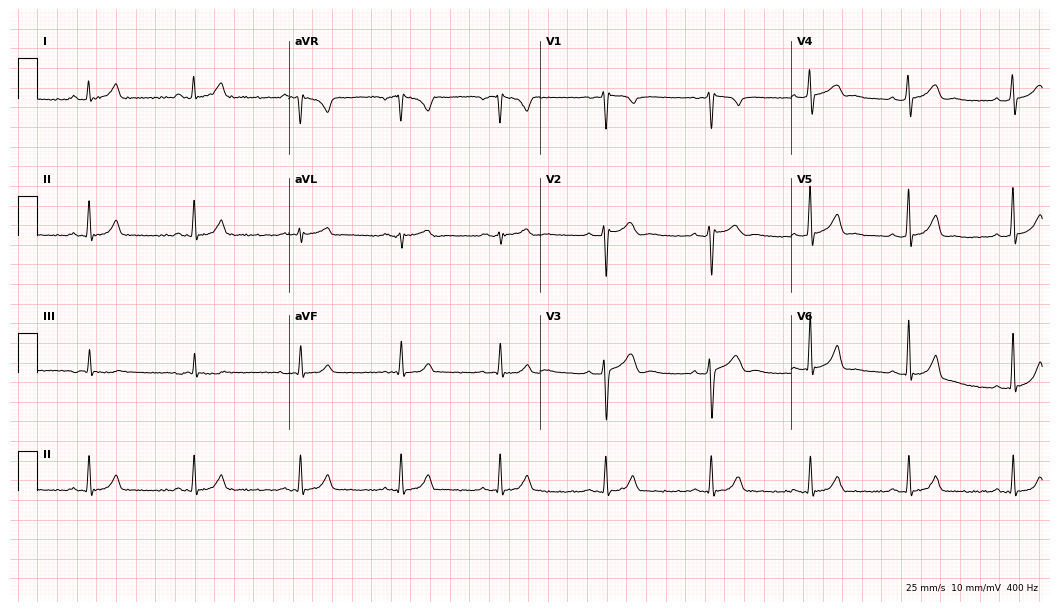
12-lead ECG from a male, 40 years old (10.2-second recording at 400 Hz). Recorded interpretation: within normal limits.